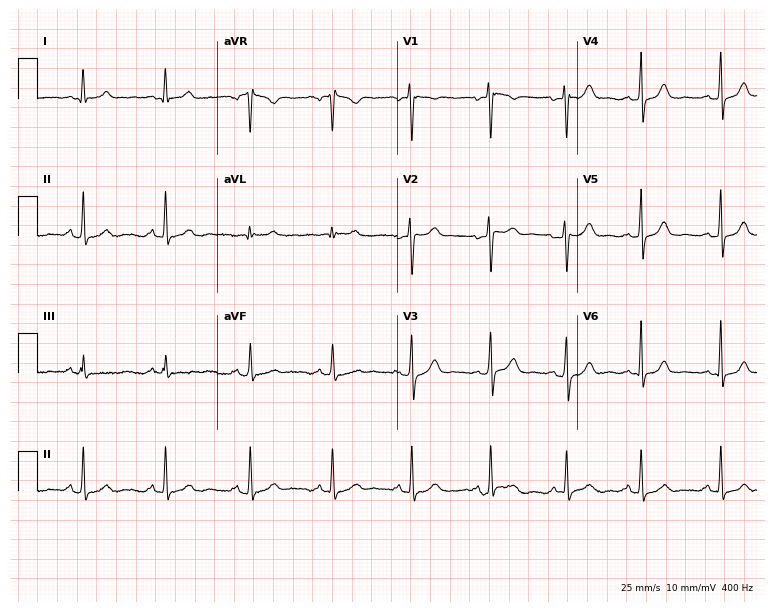
Electrocardiogram (7.3-second recording at 400 Hz), a 39-year-old woman. Of the six screened findings (first-degree AV block, right bundle branch block, left bundle branch block, sinus bradycardia, atrial fibrillation, sinus tachycardia), none is recorded. Only these six findings were labelled.